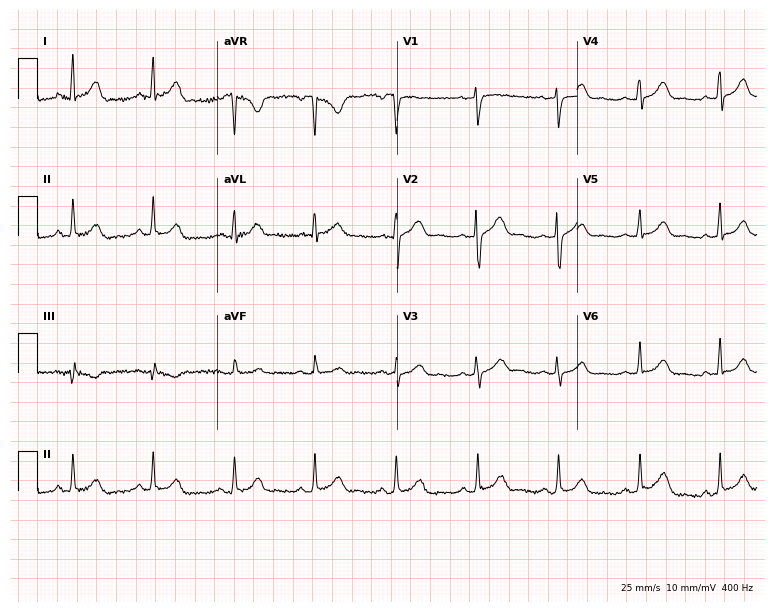
Resting 12-lead electrocardiogram (7.3-second recording at 400 Hz). Patient: a 40-year-old woman. Read as a normal ECG.